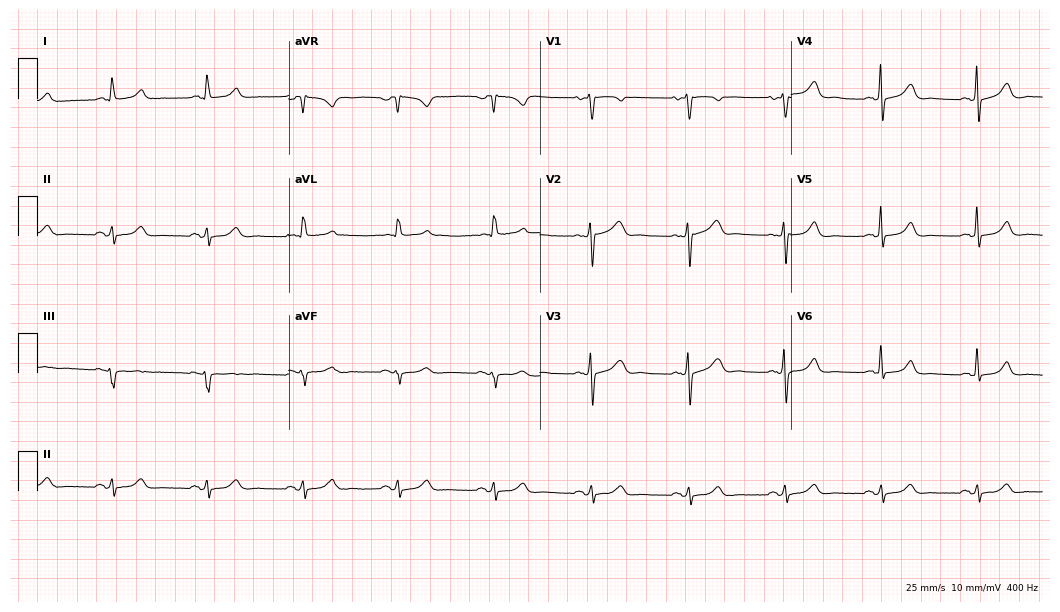
Standard 12-lead ECG recorded from a female patient, 80 years old. None of these six findings is recorded: first-degree AV block, right bundle branch block, left bundle branch block, sinus bradycardia, atrial fibrillation, sinus tachycardia. Other findings, if any, are not listed.